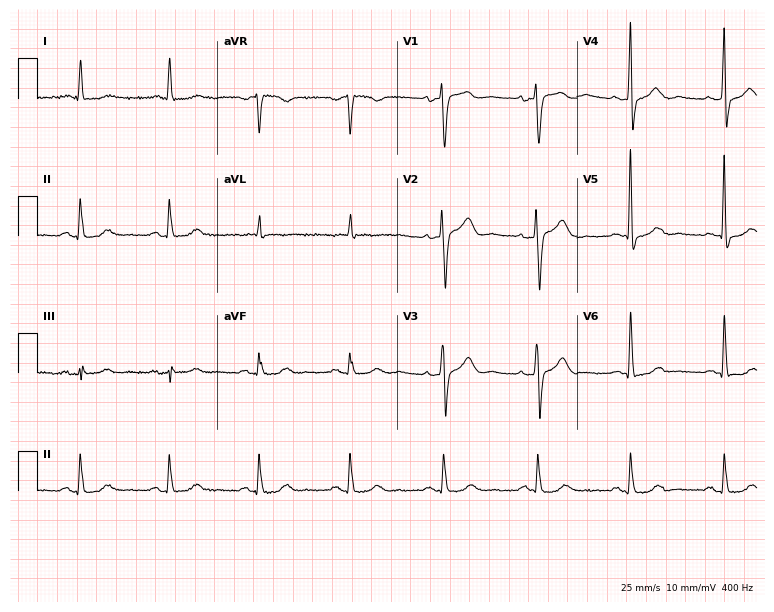
12-lead ECG from a female, 74 years old. Screened for six findings — first-degree AV block, right bundle branch block, left bundle branch block, sinus bradycardia, atrial fibrillation, sinus tachycardia — none is recorded.